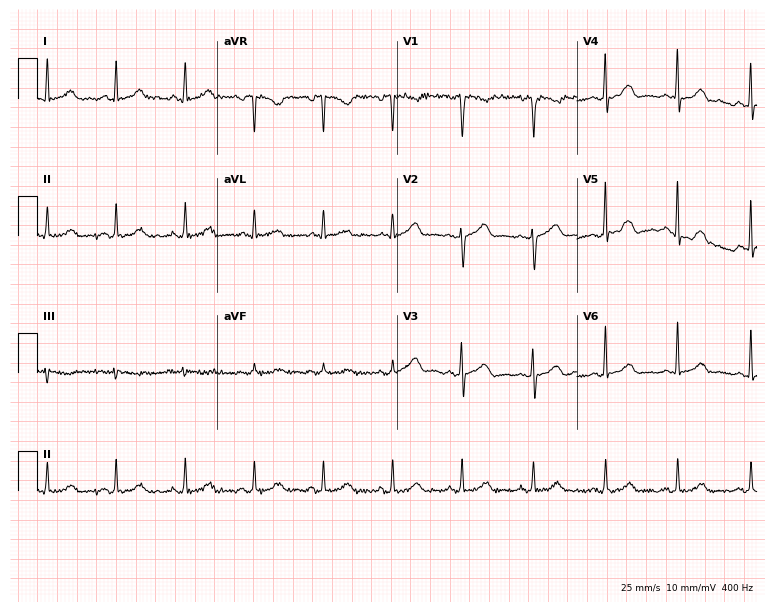
Electrocardiogram, a woman, 43 years old. Of the six screened findings (first-degree AV block, right bundle branch block (RBBB), left bundle branch block (LBBB), sinus bradycardia, atrial fibrillation (AF), sinus tachycardia), none is recorded. Findings outside these six are not listed.